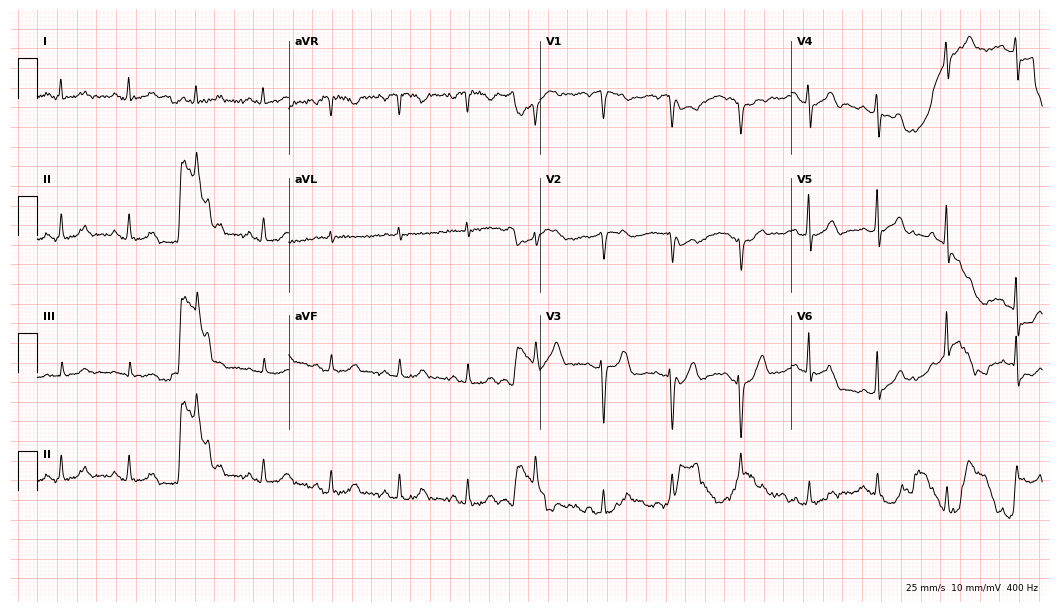
Electrocardiogram, a 70-year-old man. Of the six screened findings (first-degree AV block, right bundle branch block, left bundle branch block, sinus bradycardia, atrial fibrillation, sinus tachycardia), none is recorded.